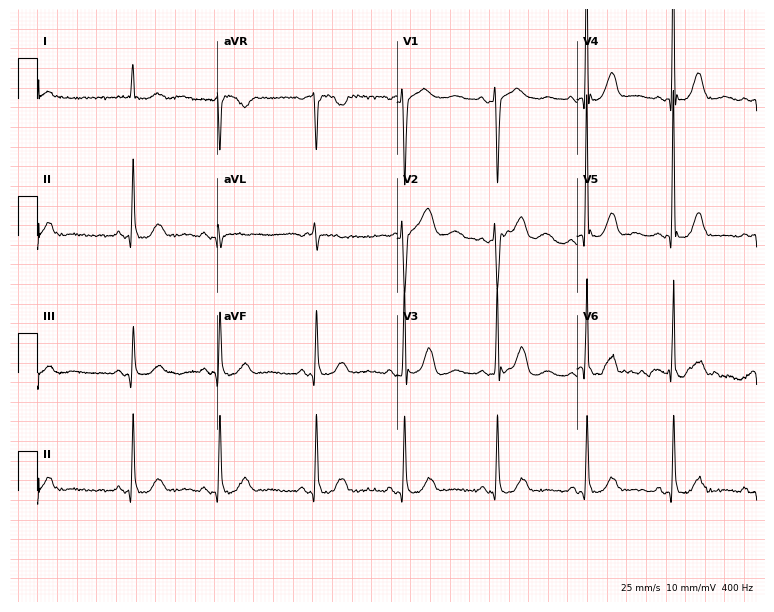
ECG (7.3-second recording at 400 Hz) — a female patient, 81 years old. Labelled as a normal ECG.